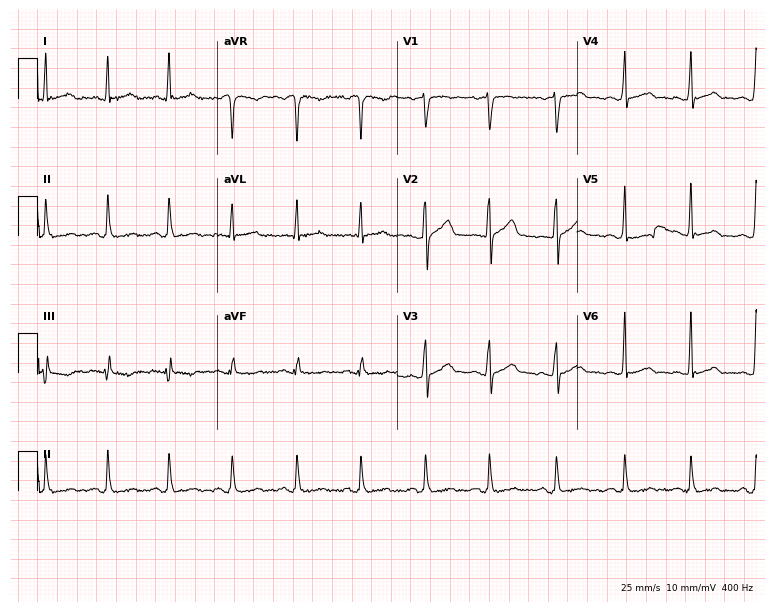
Resting 12-lead electrocardiogram. Patient: a man, 27 years old. None of these six findings is recorded: first-degree AV block, right bundle branch block, left bundle branch block, sinus bradycardia, atrial fibrillation, sinus tachycardia. Other findings, if any, are not listed.